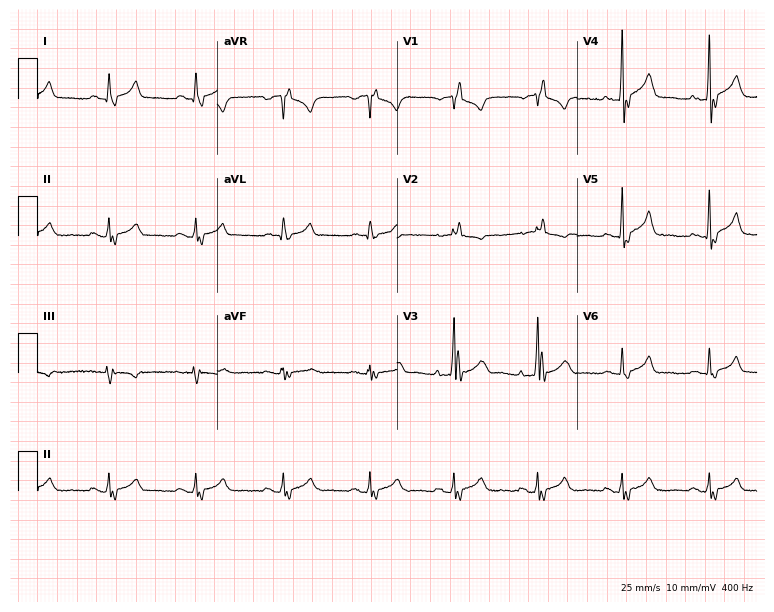
Electrocardiogram, a man, 57 years old. Interpretation includes right bundle branch block.